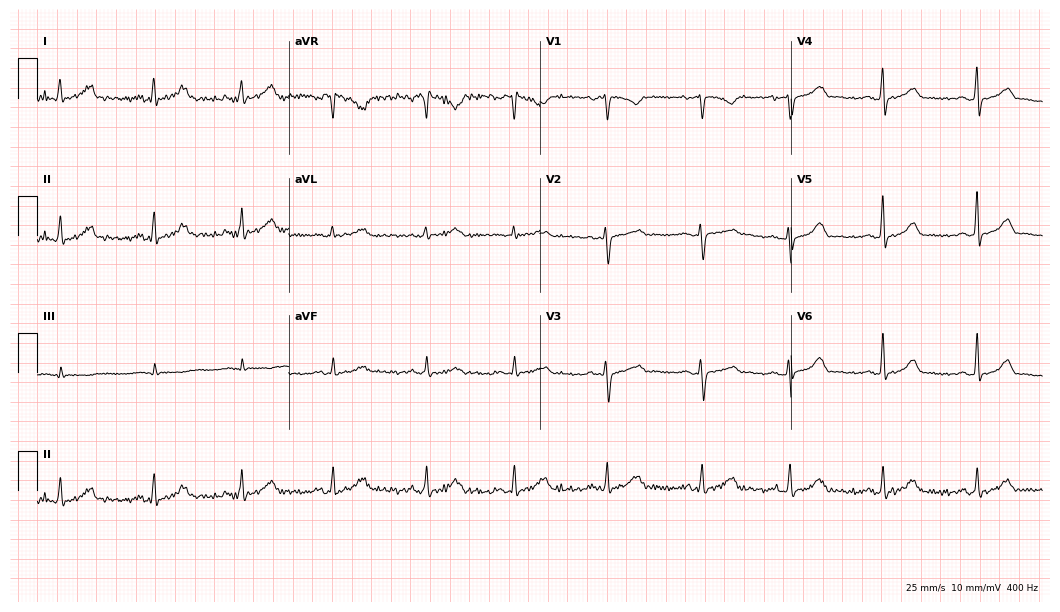
Standard 12-lead ECG recorded from a 29-year-old female patient. Read as a normal ECG.